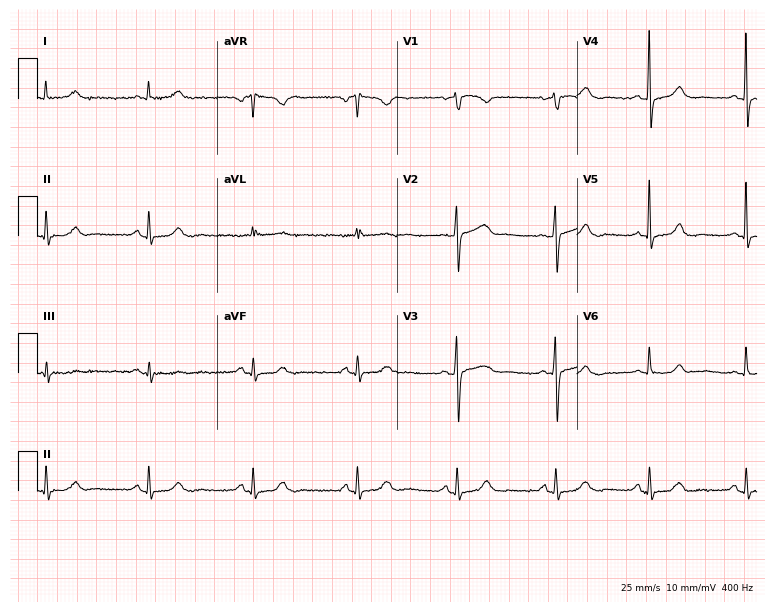
Resting 12-lead electrocardiogram (7.3-second recording at 400 Hz). Patient: a 72-year-old female. Read as a normal ECG.